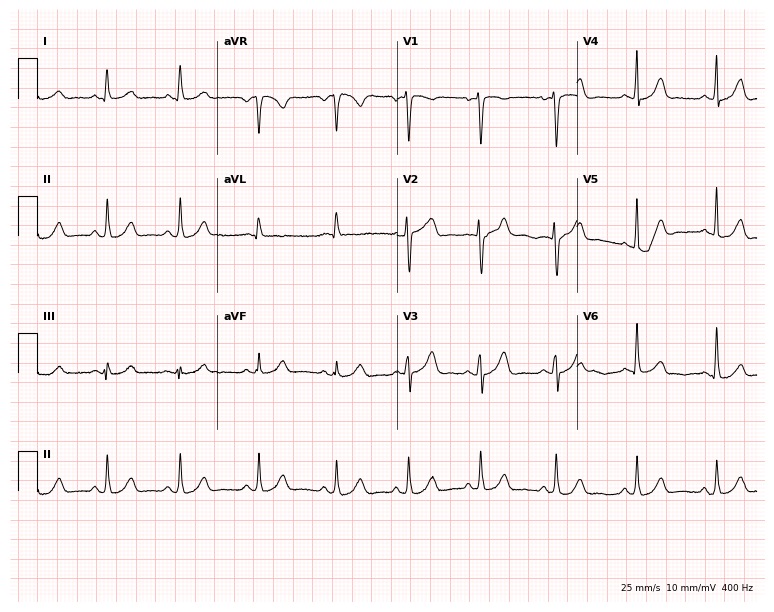
12-lead ECG from a 31-year-old woman. Screened for six findings — first-degree AV block, right bundle branch block (RBBB), left bundle branch block (LBBB), sinus bradycardia, atrial fibrillation (AF), sinus tachycardia — none is recorded. Other findings, if any, are not listed.